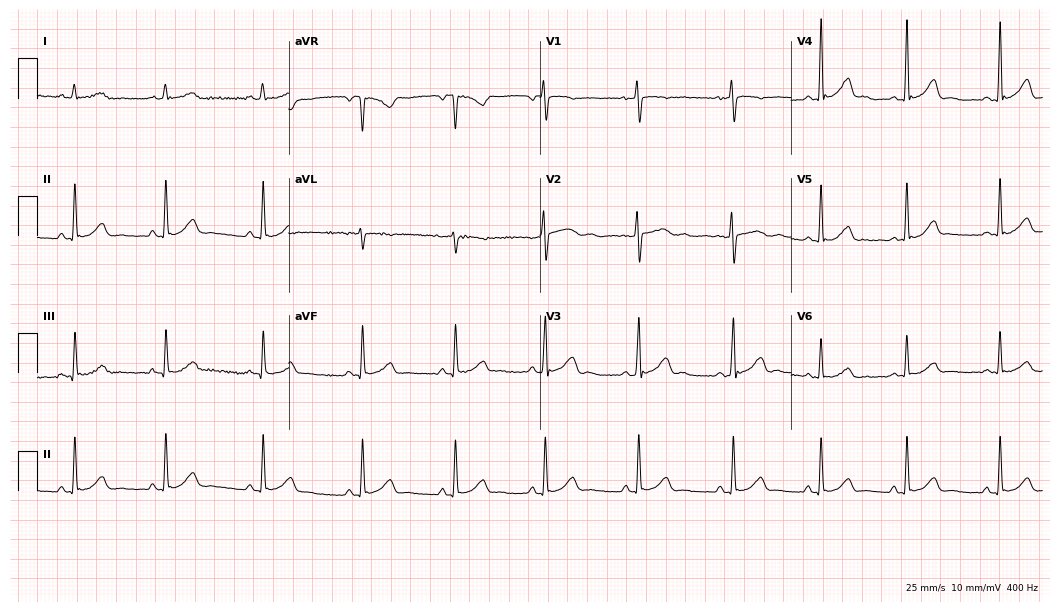
12-lead ECG from a 34-year-old female. Recorded interpretation: within normal limits.